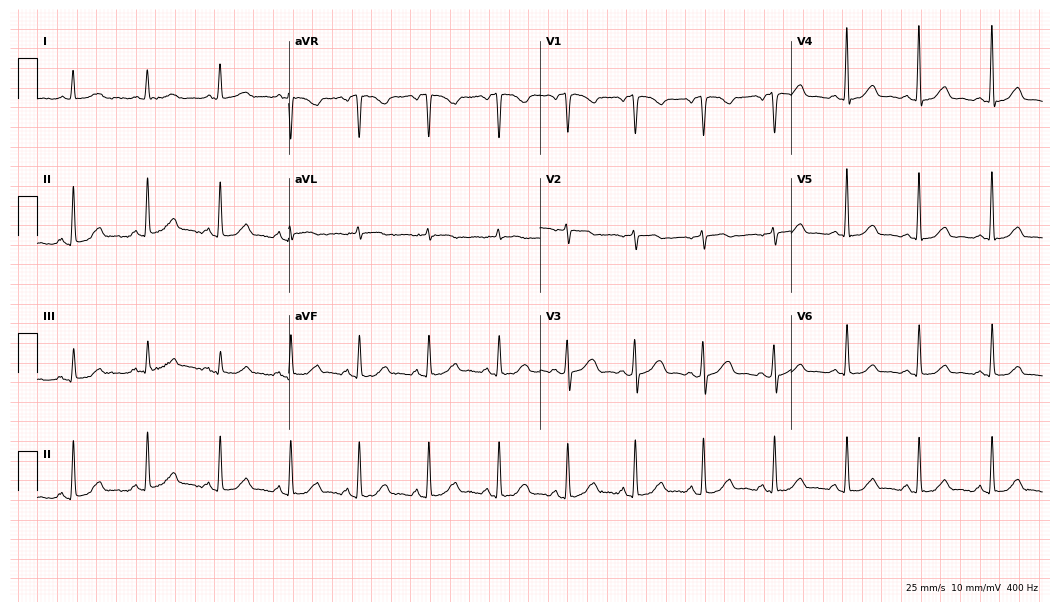
12-lead ECG from a woman, 44 years old. Screened for six findings — first-degree AV block, right bundle branch block, left bundle branch block, sinus bradycardia, atrial fibrillation, sinus tachycardia — none is recorded.